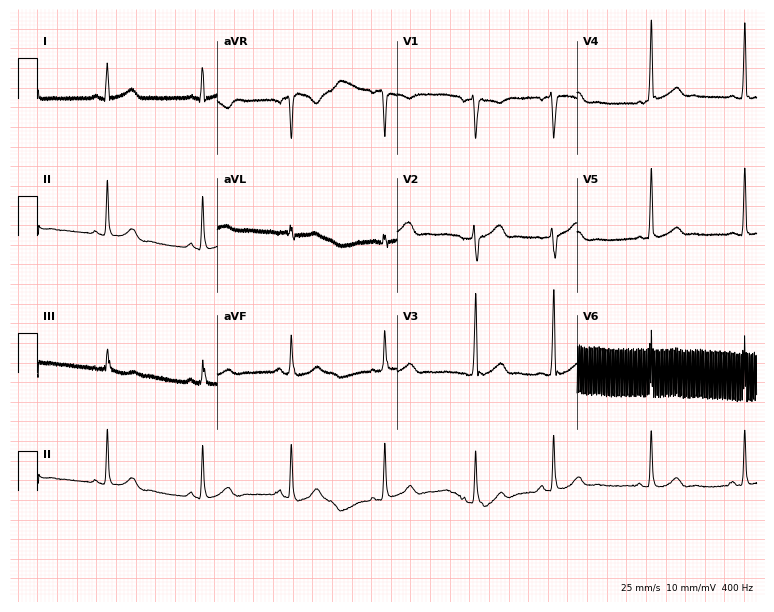
ECG (7.3-second recording at 400 Hz) — a 17-year-old male. Screened for six findings — first-degree AV block, right bundle branch block, left bundle branch block, sinus bradycardia, atrial fibrillation, sinus tachycardia — none is recorded.